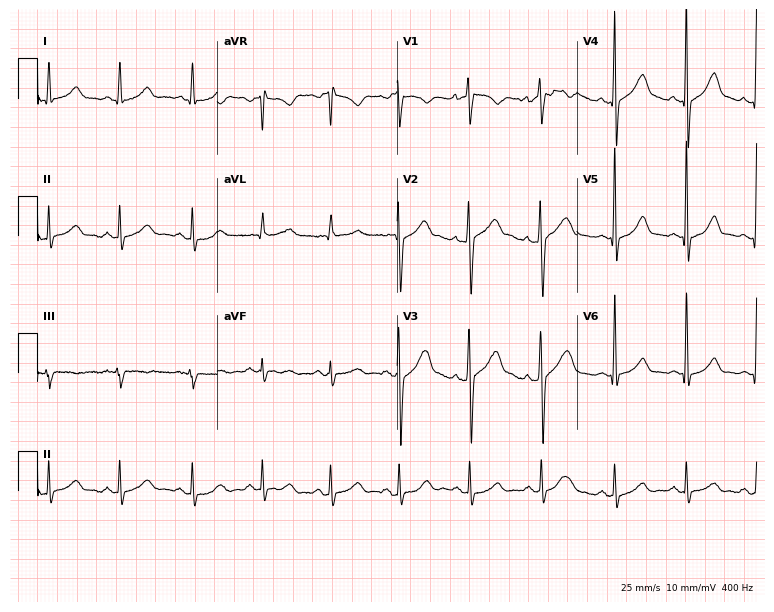
ECG — a male patient, 28 years old. Screened for six findings — first-degree AV block, right bundle branch block (RBBB), left bundle branch block (LBBB), sinus bradycardia, atrial fibrillation (AF), sinus tachycardia — none is recorded.